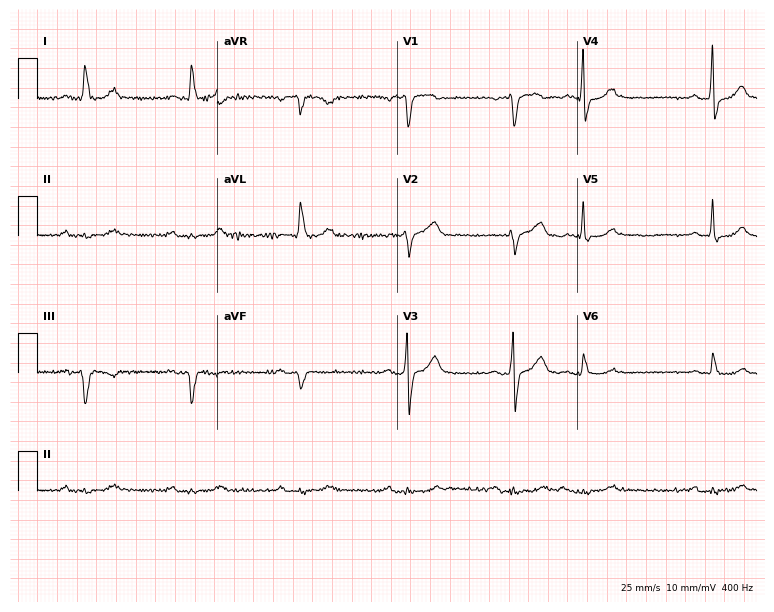
12-lead ECG from a male patient, 77 years old. No first-degree AV block, right bundle branch block (RBBB), left bundle branch block (LBBB), sinus bradycardia, atrial fibrillation (AF) or sinus tachycardia recorded for this tracing. Other findings, if any, are not listed.